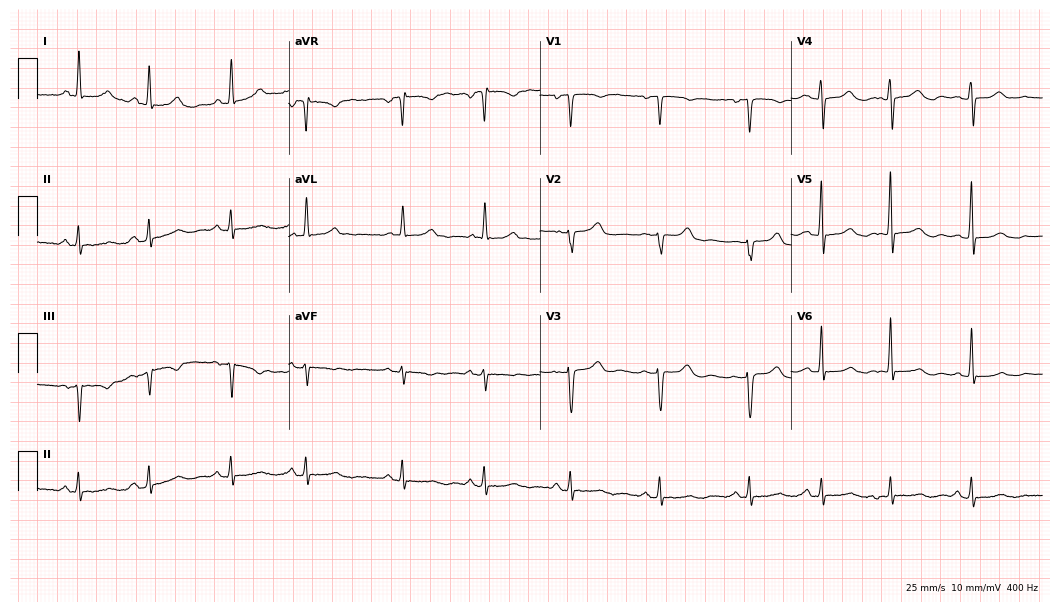
Electrocardiogram, a 73-year-old woman. Overall reading on record: normal ECG.